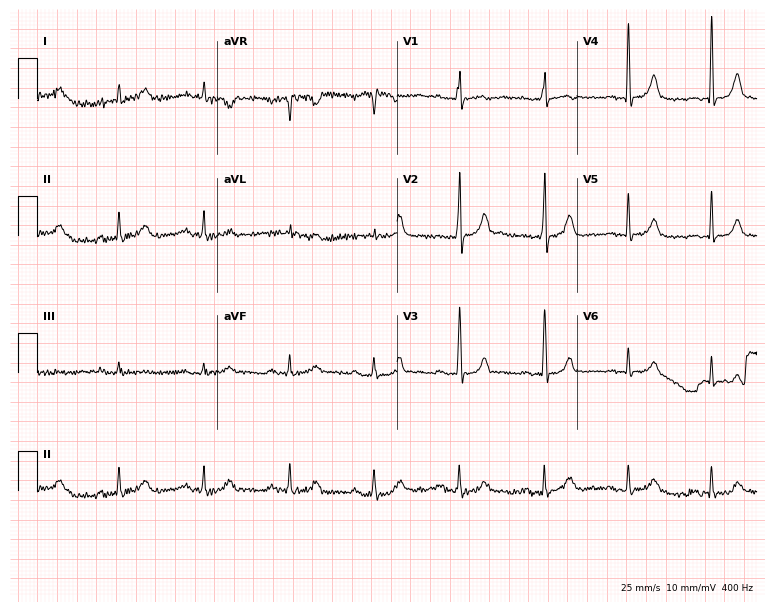
12-lead ECG from a female patient, 85 years old. Recorded interpretation: within normal limits.